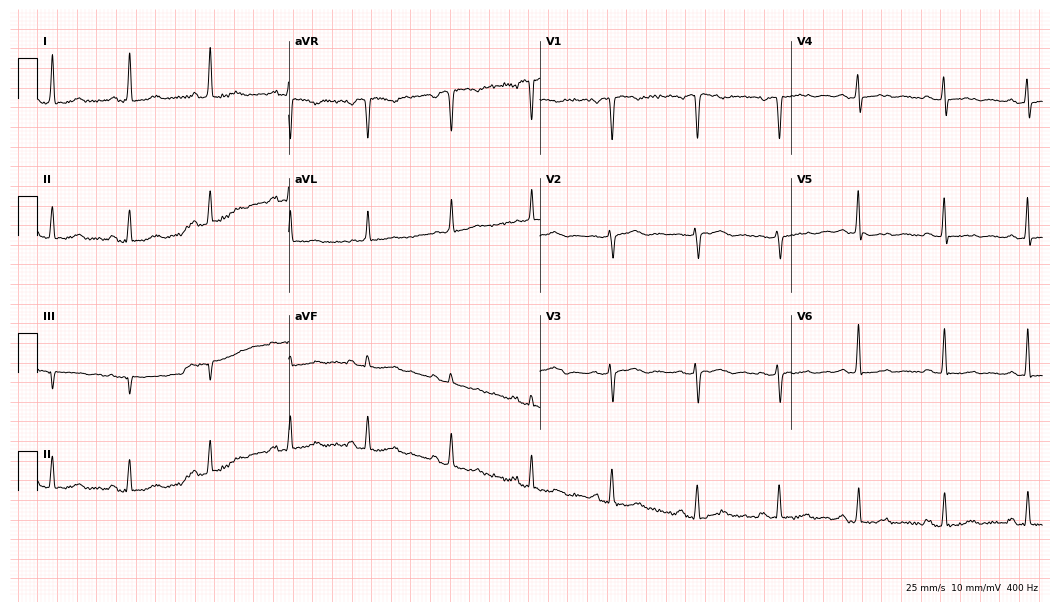
Standard 12-lead ECG recorded from a female patient, 61 years old (10.2-second recording at 400 Hz). None of these six findings is recorded: first-degree AV block, right bundle branch block, left bundle branch block, sinus bradycardia, atrial fibrillation, sinus tachycardia.